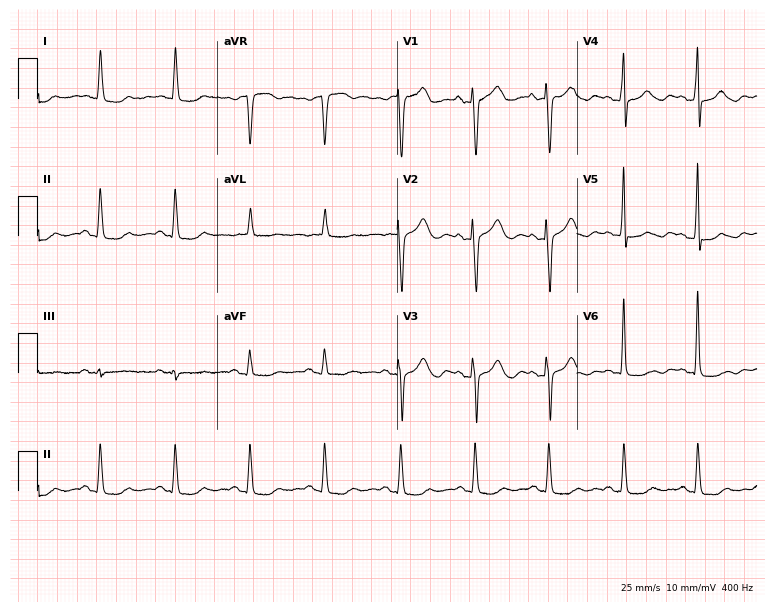
Electrocardiogram (7.3-second recording at 400 Hz), an 82-year-old female. Of the six screened findings (first-degree AV block, right bundle branch block (RBBB), left bundle branch block (LBBB), sinus bradycardia, atrial fibrillation (AF), sinus tachycardia), none is recorded.